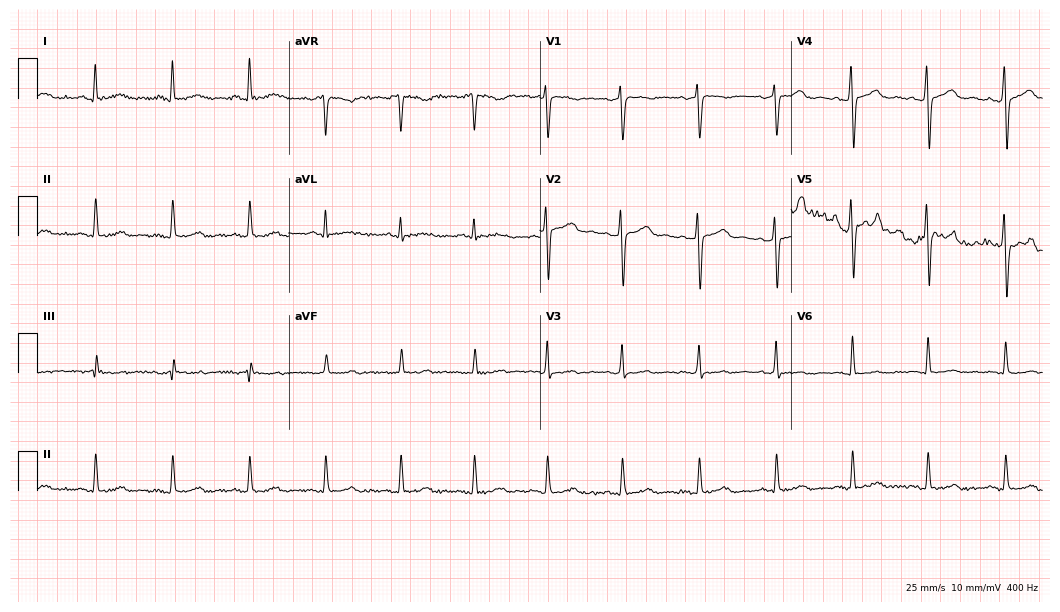
12-lead ECG from a 57-year-old female patient. Screened for six findings — first-degree AV block, right bundle branch block (RBBB), left bundle branch block (LBBB), sinus bradycardia, atrial fibrillation (AF), sinus tachycardia — none is recorded.